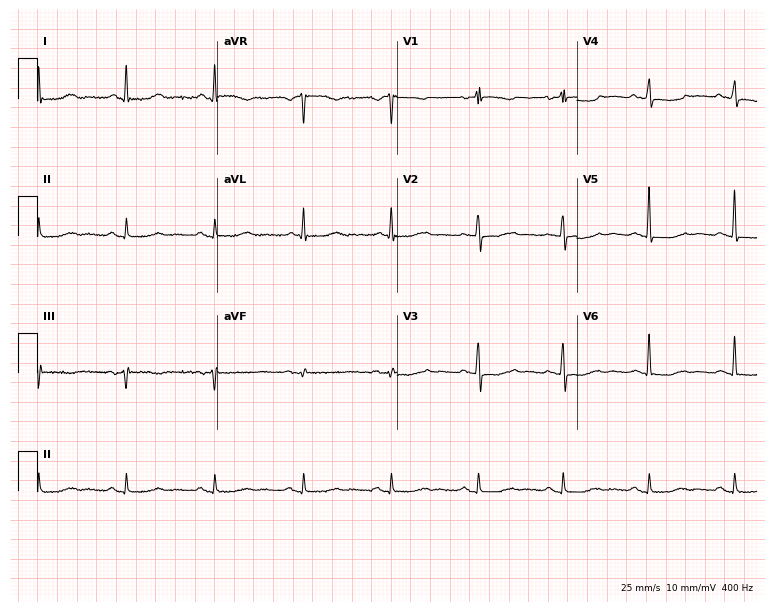
Standard 12-lead ECG recorded from a female patient, 65 years old. None of these six findings is recorded: first-degree AV block, right bundle branch block, left bundle branch block, sinus bradycardia, atrial fibrillation, sinus tachycardia. Other findings, if any, are not listed.